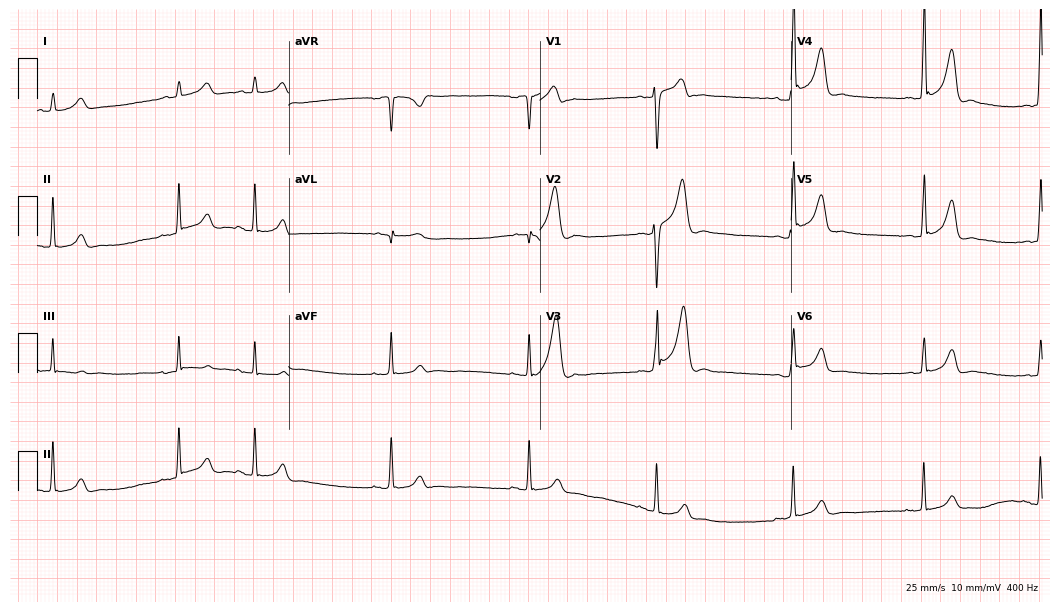
Resting 12-lead electrocardiogram. Patient: a 19-year-old male. Read as a normal ECG.